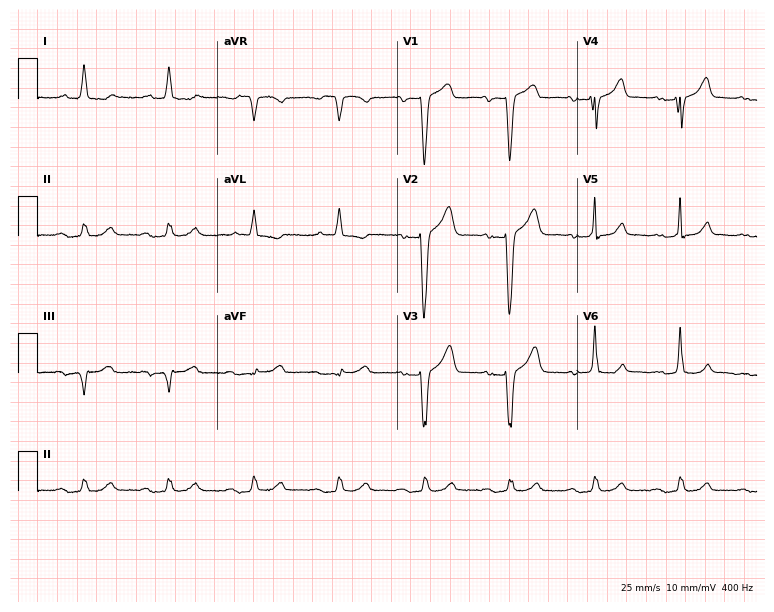
Electrocardiogram, a male patient, 69 years old. Interpretation includes first-degree AV block.